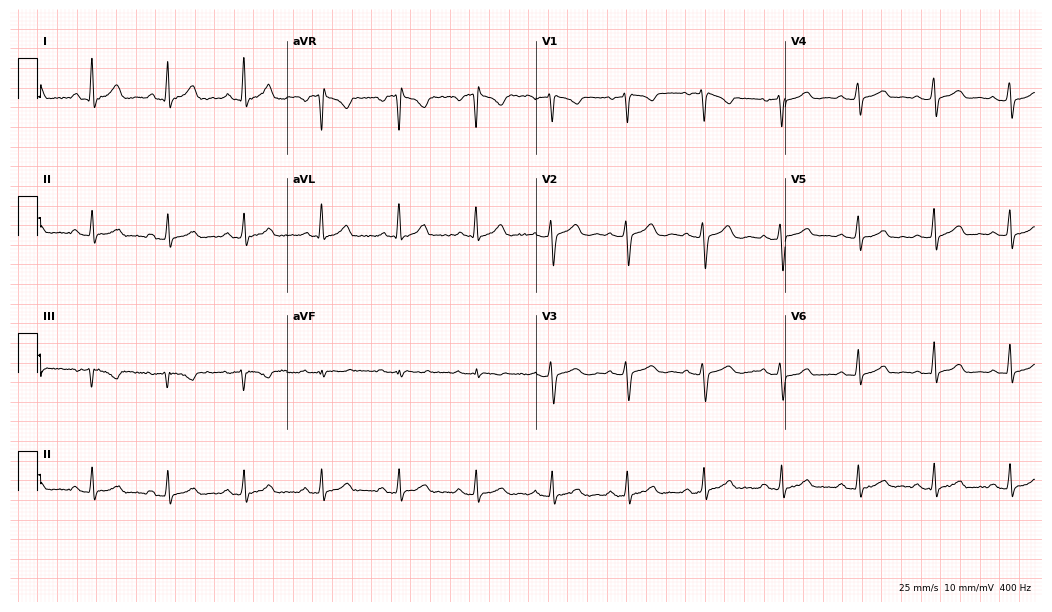
Resting 12-lead electrocardiogram. Patient: a 40-year-old female. Read as a normal ECG.